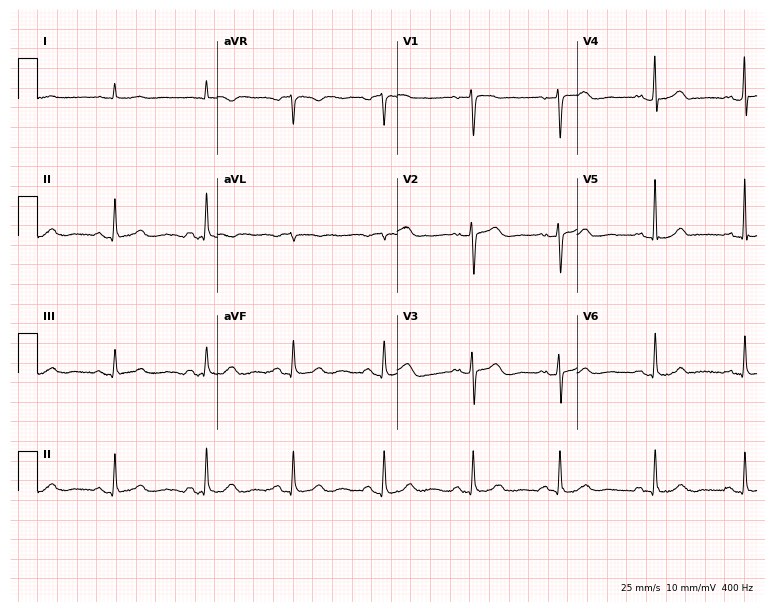
Electrocardiogram (7.3-second recording at 400 Hz), a male, 72 years old. Overall reading on record: normal ECG.